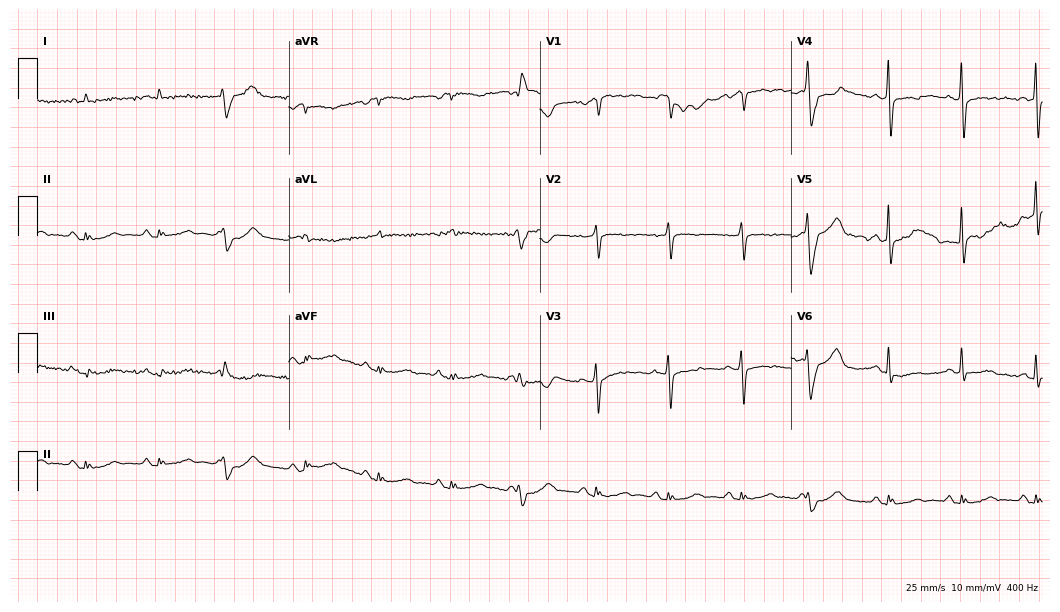
Resting 12-lead electrocardiogram (10.2-second recording at 400 Hz). Patient: a 78-year-old man. None of these six findings is recorded: first-degree AV block, right bundle branch block, left bundle branch block, sinus bradycardia, atrial fibrillation, sinus tachycardia. Findings outside these six are not listed.